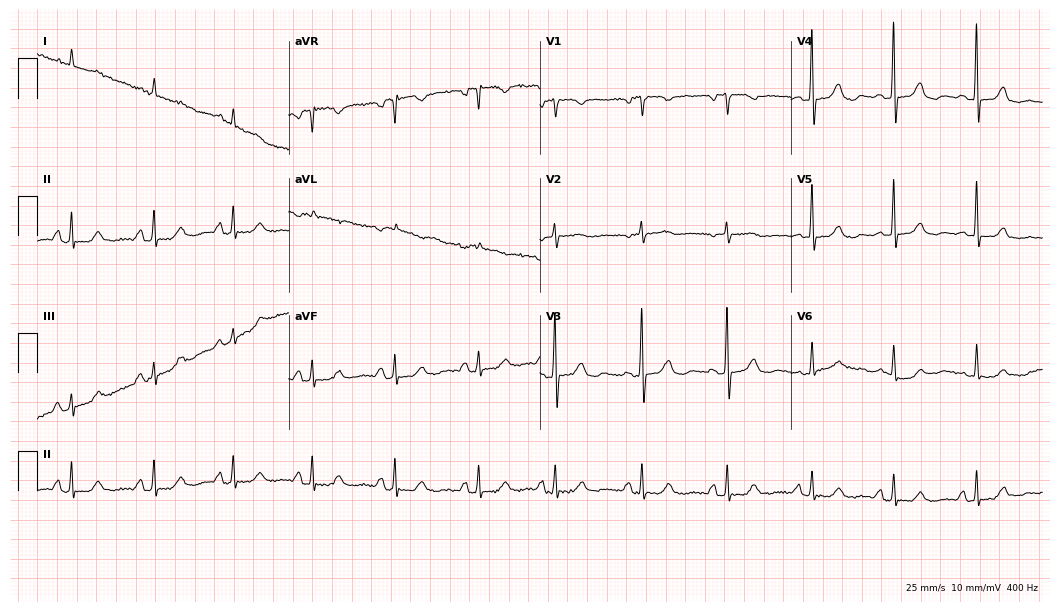
12-lead ECG from a female patient, 80 years old. Recorded interpretation: within normal limits.